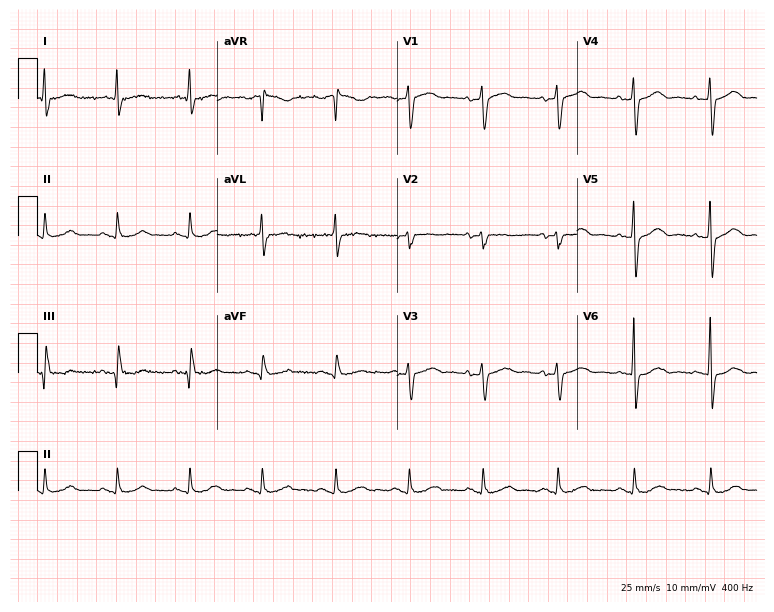
Resting 12-lead electrocardiogram (7.3-second recording at 400 Hz). Patient: a male, 70 years old. Read as a normal ECG.